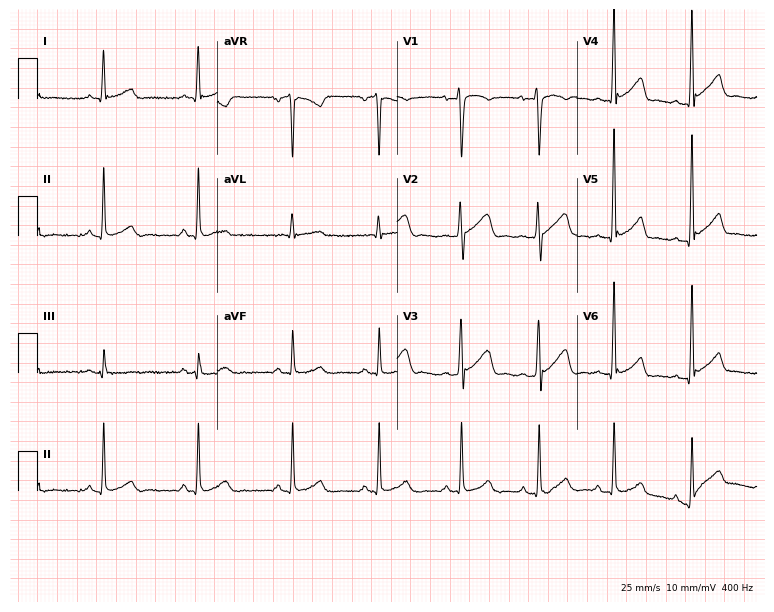
12-lead ECG from a 39-year-old male (7.3-second recording at 400 Hz). Recorded interpretation: within normal limits.